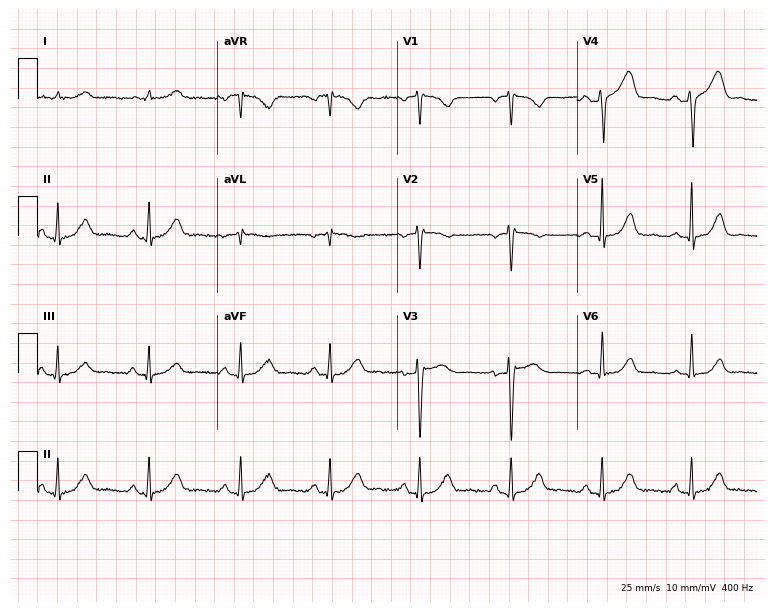
12-lead ECG from a 68-year-old female (7.3-second recording at 400 Hz). No first-degree AV block, right bundle branch block (RBBB), left bundle branch block (LBBB), sinus bradycardia, atrial fibrillation (AF) or sinus tachycardia recorded for this tracing. Findings outside these six are not listed.